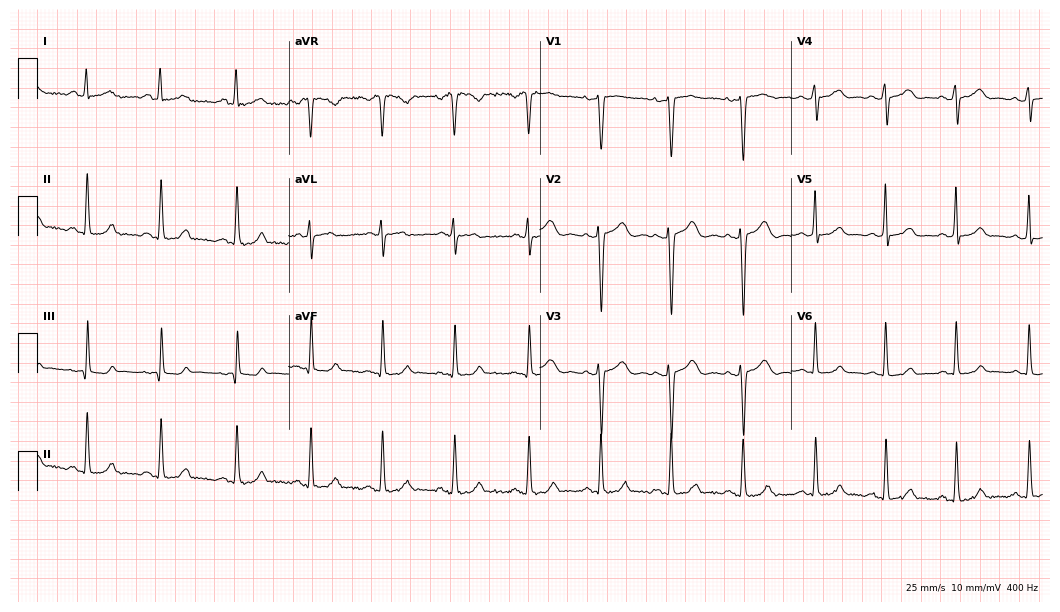
Standard 12-lead ECG recorded from a 24-year-old female. Read as a normal ECG.